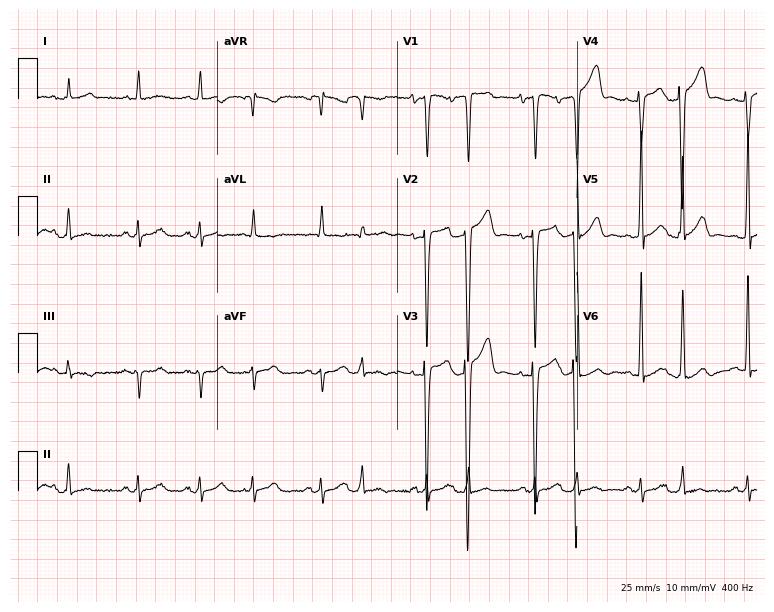
Electrocardiogram, an 83-year-old female. Of the six screened findings (first-degree AV block, right bundle branch block (RBBB), left bundle branch block (LBBB), sinus bradycardia, atrial fibrillation (AF), sinus tachycardia), none is recorded. Findings outside these six are not listed.